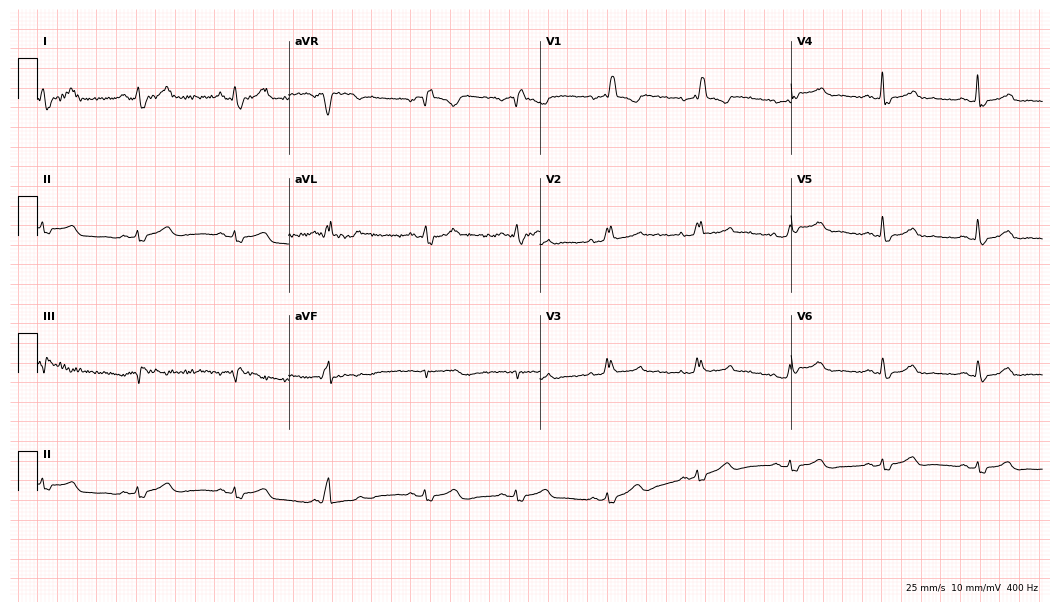
12-lead ECG from a 43-year-old female. No first-degree AV block, right bundle branch block, left bundle branch block, sinus bradycardia, atrial fibrillation or sinus tachycardia recorded for this tracing.